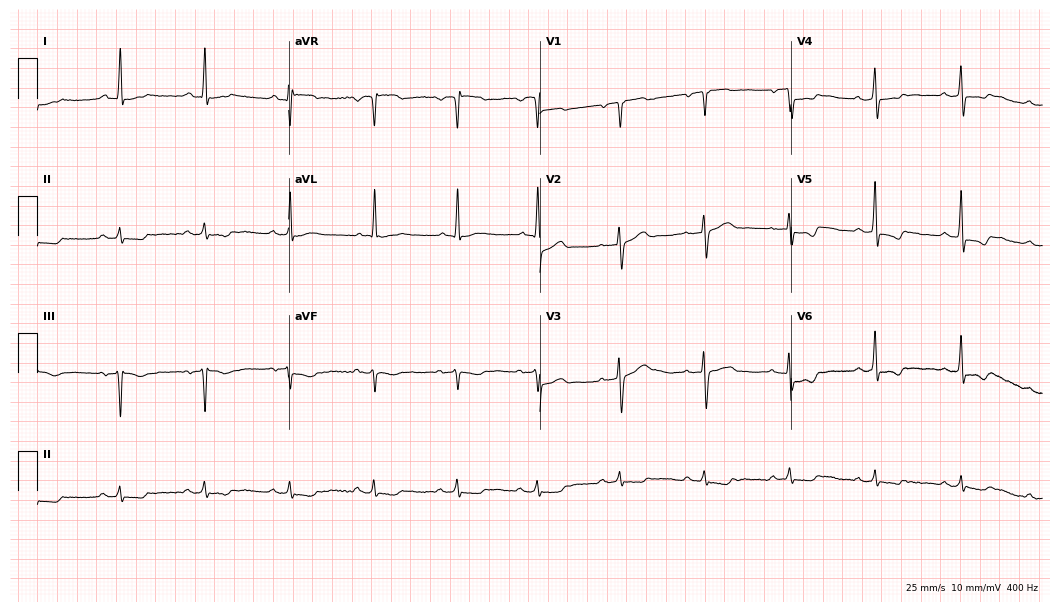
ECG (10.2-second recording at 400 Hz) — a 78-year-old man. Screened for six findings — first-degree AV block, right bundle branch block, left bundle branch block, sinus bradycardia, atrial fibrillation, sinus tachycardia — none is recorded.